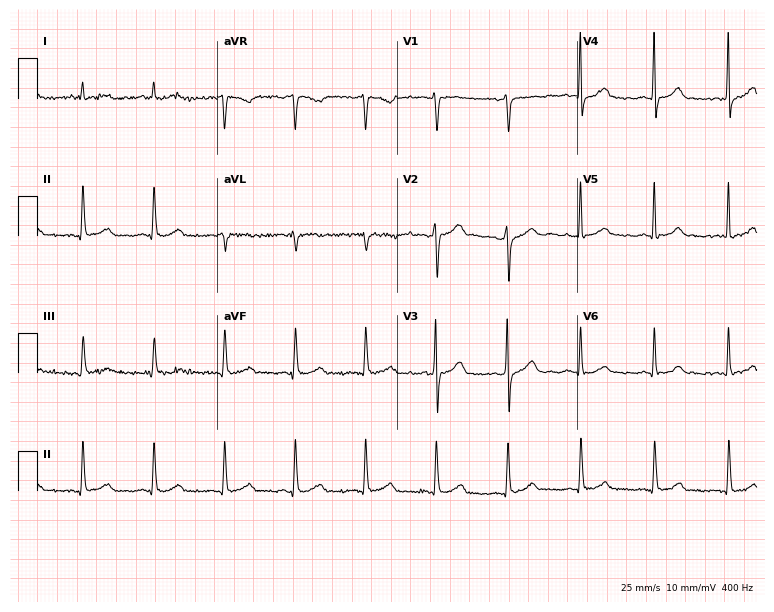
Electrocardiogram (7.3-second recording at 400 Hz), a male patient, 58 years old. Overall reading on record: normal ECG.